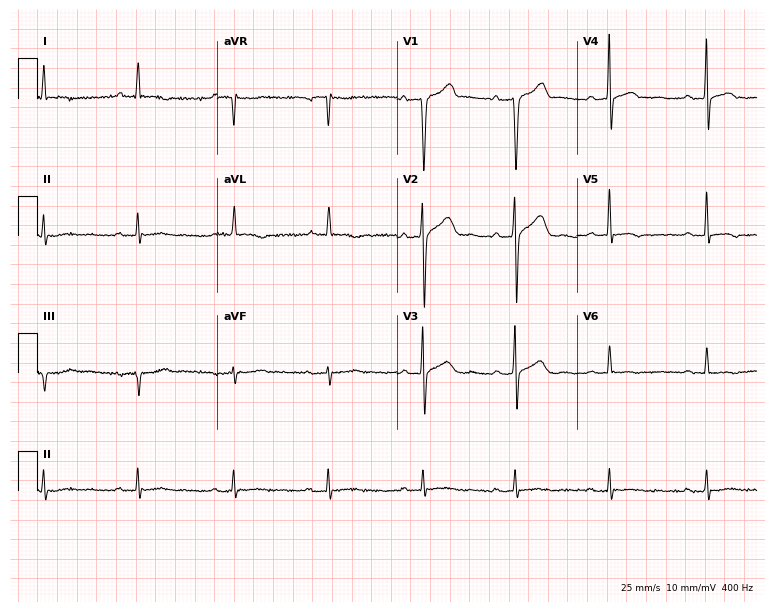
12-lead ECG from a 65-year-old male patient. No first-degree AV block, right bundle branch block, left bundle branch block, sinus bradycardia, atrial fibrillation or sinus tachycardia recorded for this tracing.